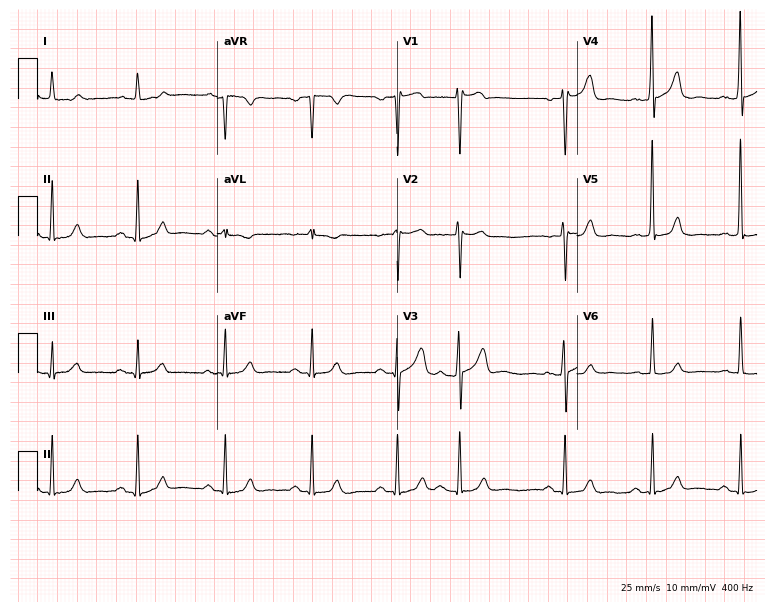
12-lead ECG from a woman, 71 years old (7.3-second recording at 400 Hz). No first-degree AV block, right bundle branch block, left bundle branch block, sinus bradycardia, atrial fibrillation or sinus tachycardia recorded for this tracing.